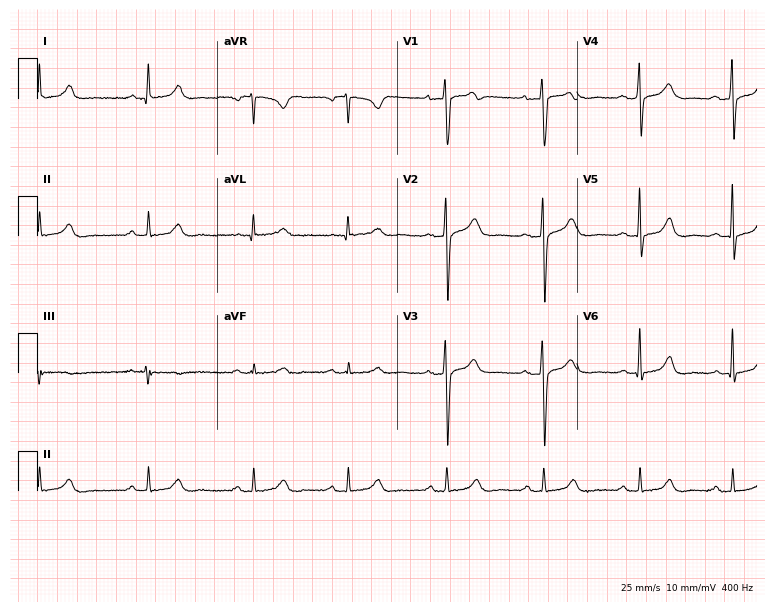
ECG (7.3-second recording at 400 Hz) — a man, 50 years old. Labelled as a normal ECG.